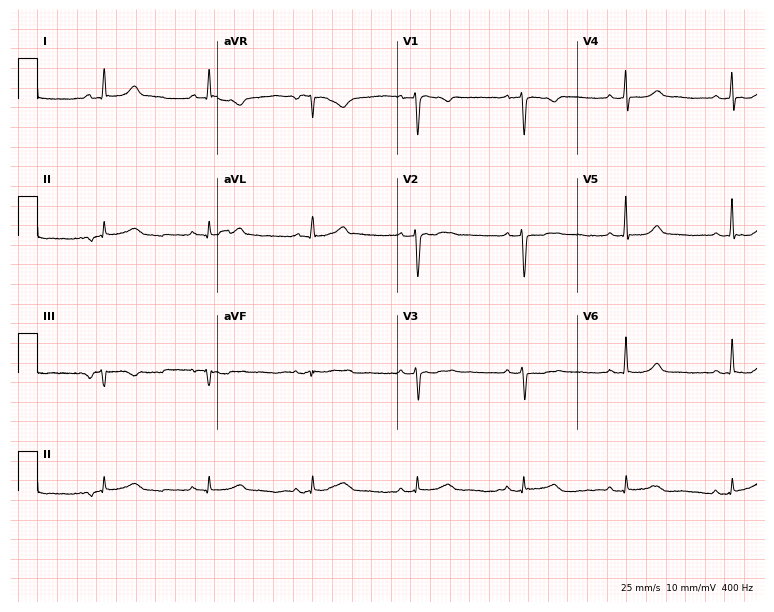
Standard 12-lead ECG recorded from a 49-year-old woman. None of these six findings is recorded: first-degree AV block, right bundle branch block, left bundle branch block, sinus bradycardia, atrial fibrillation, sinus tachycardia. Findings outside these six are not listed.